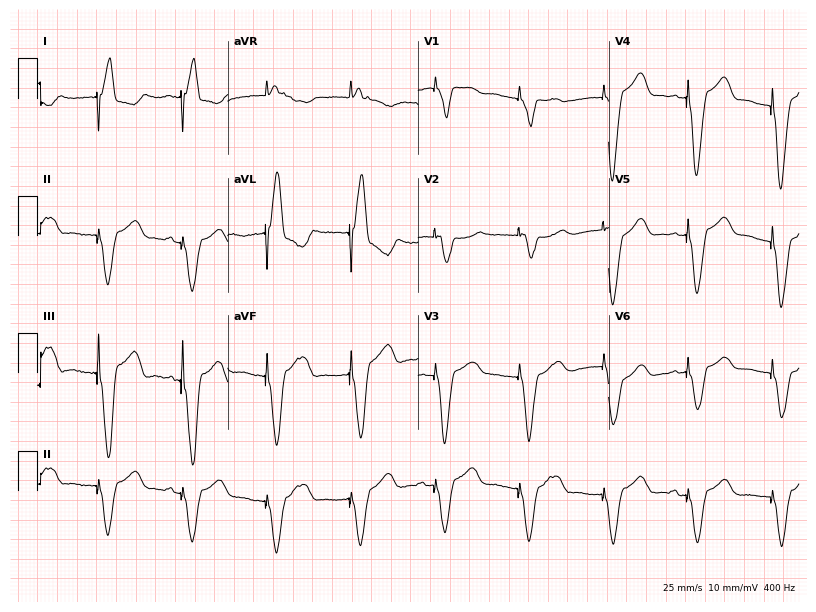
Resting 12-lead electrocardiogram (7.8-second recording at 400 Hz). Patient: a 25-year-old male. None of these six findings is recorded: first-degree AV block, right bundle branch block, left bundle branch block, sinus bradycardia, atrial fibrillation, sinus tachycardia.